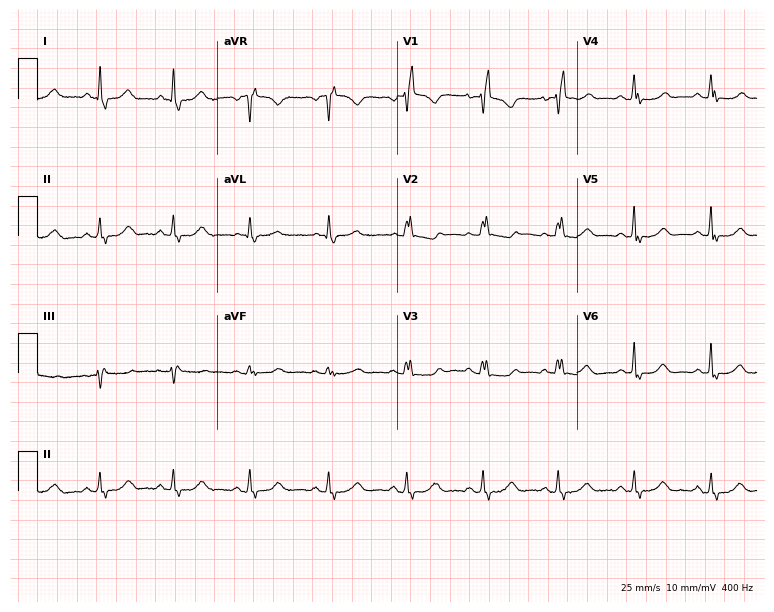
ECG — a woman, 64 years old. Screened for six findings — first-degree AV block, right bundle branch block (RBBB), left bundle branch block (LBBB), sinus bradycardia, atrial fibrillation (AF), sinus tachycardia — none is recorded.